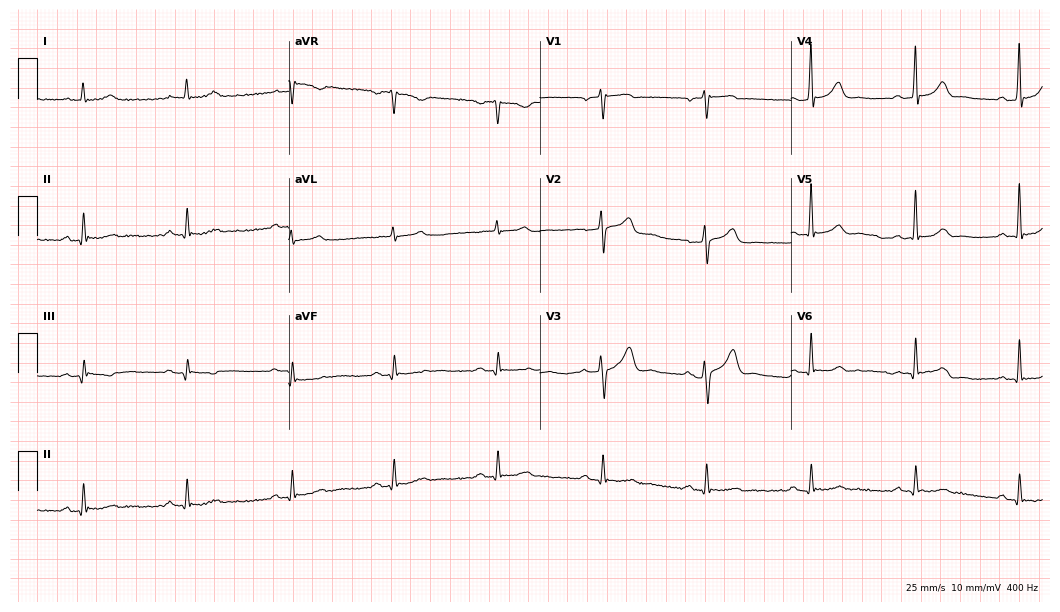
Standard 12-lead ECG recorded from a man, 69 years old. Read as a normal ECG.